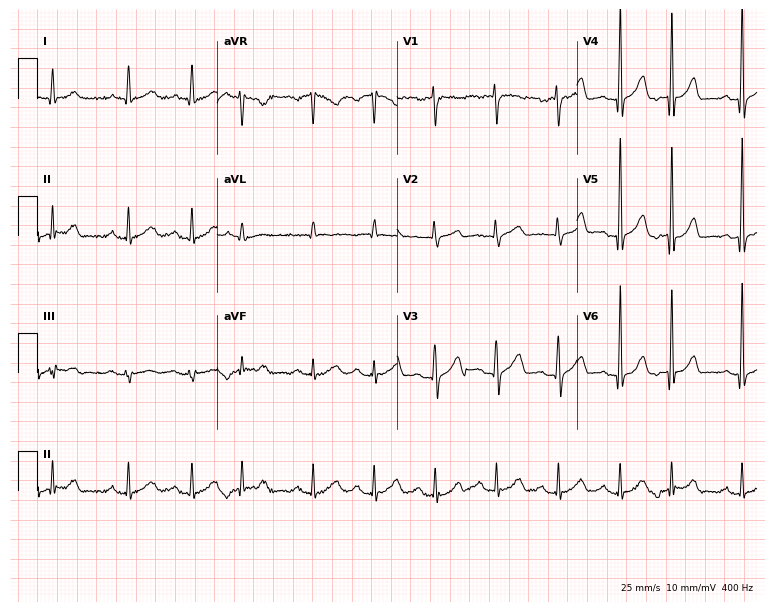
12-lead ECG from a 66-year-old man (7.3-second recording at 400 Hz). No first-degree AV block, right bundle branch block, left bundle branch block, sinus bradycardia, atrial fibrillation or sinus tachycardia recorded for this tracing. Only these six findings were labelled.